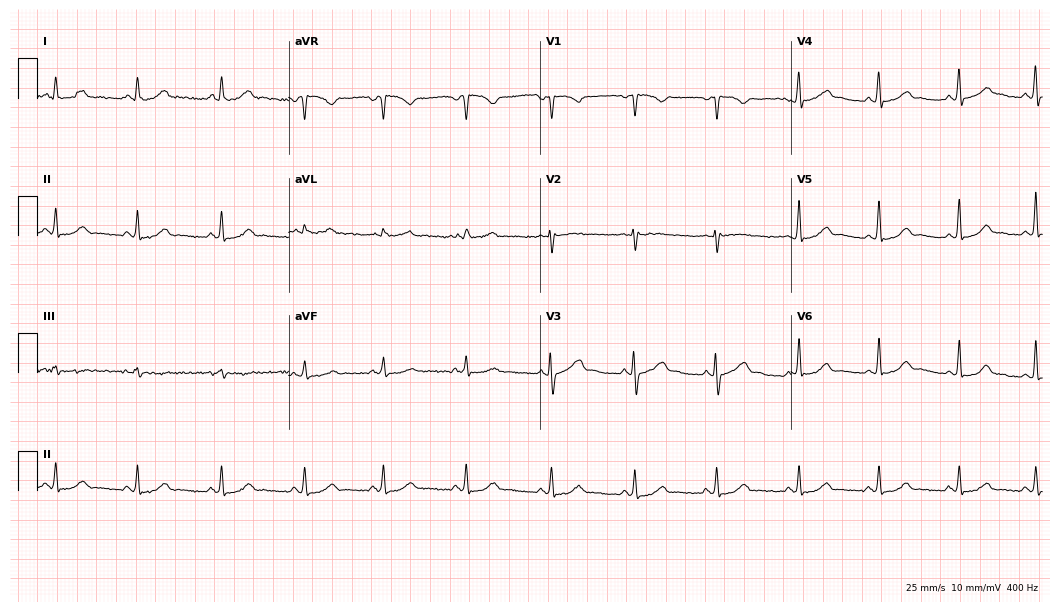
Electrocardiogram, a 30-year-old female. Overall reading on record: normal ECG.